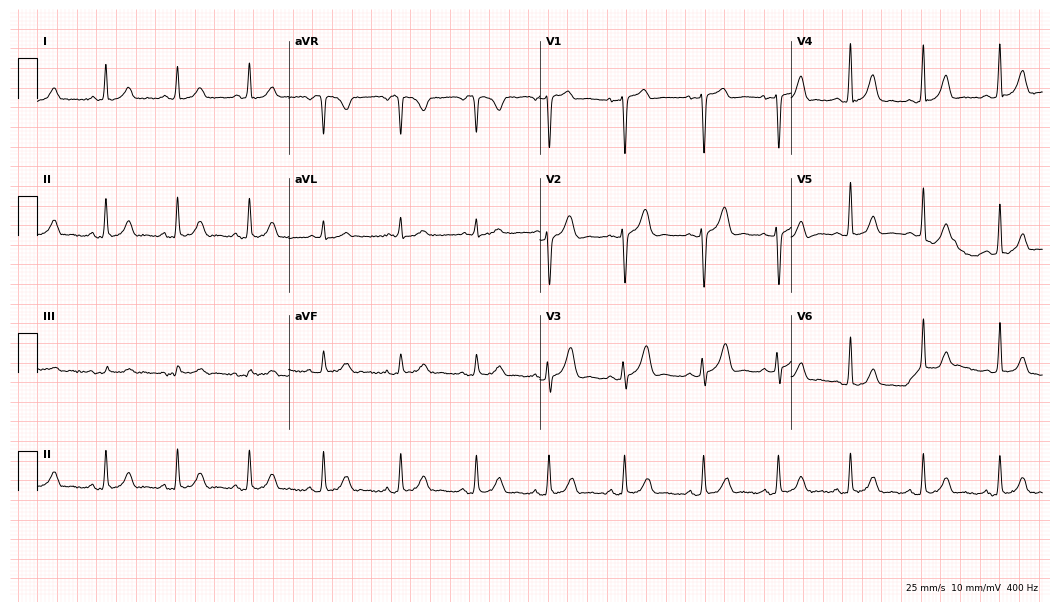
Electrocardiogram, a female, 28 years old. Overall reading on record: normal ECG.